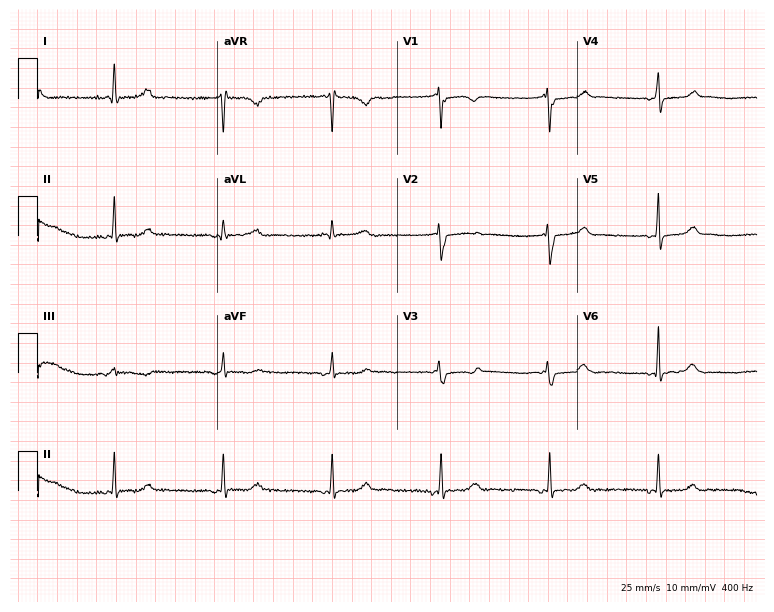
Electrocardiogram (7.3-second recording at 400 Hz), a woman, 53 years old. Of the six screened findings (first-degree AV block, right bundle branch block (RBBB), left bundle branch block (LBBB), sinus bradycardia, atrial fibrillation (AF), sinus tachycardia), none is recorded.